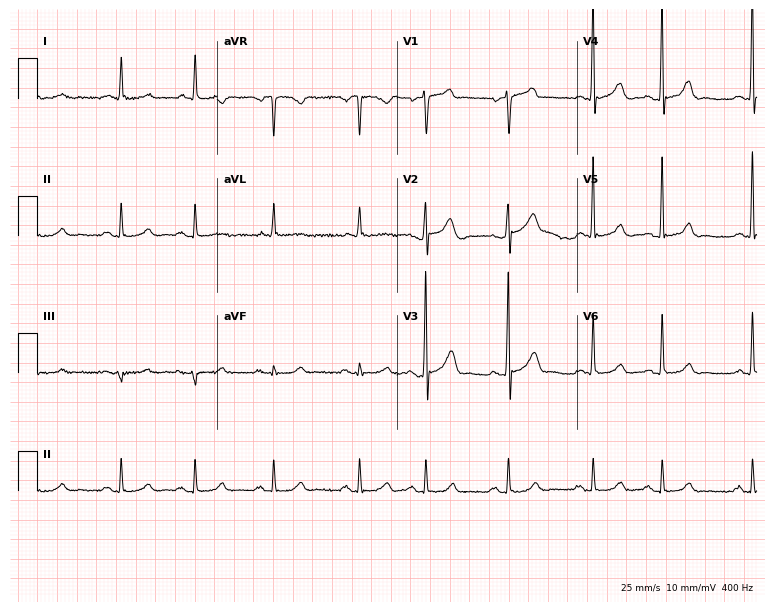
12-lead ECG from an 80-year-old man. Labelled as a normal ECG.